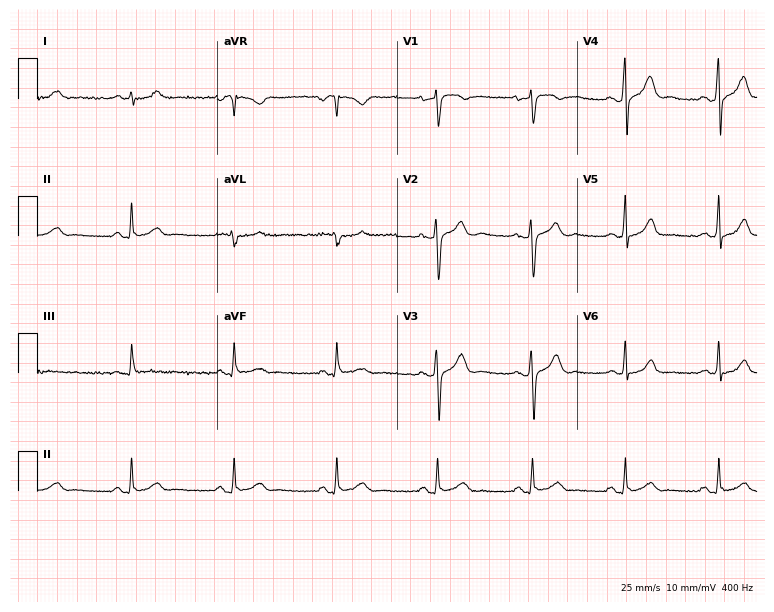
ECG (7.3-second recording at 400 Hz) — a male patient, 27 years old. Screened for six findings — first-degree AV block, right bundle branch block (RBBB), left bundle branch block (LBBB), sinus bradycardia, atrial fibrillation (AF), sinus tachycardia — none is recorded.